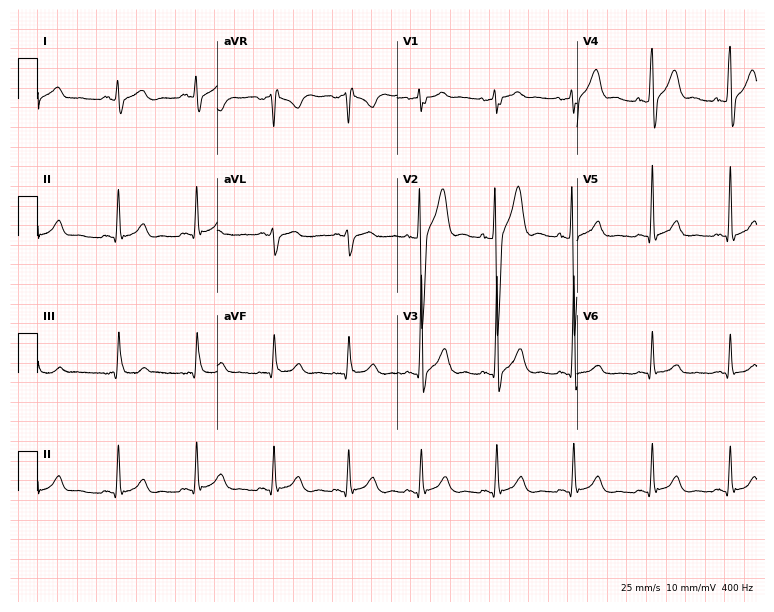
Standard 12-lead ECG recorded from a 34-year-old man (7.3-second recording at 400 Hz). Read as a normal ECG.